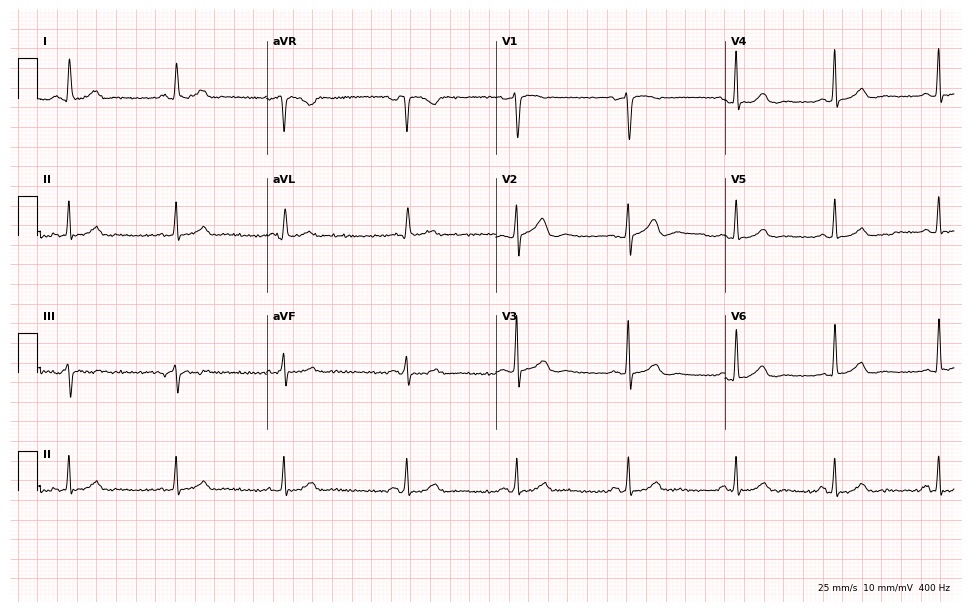
Standard 12-lead ECG recorded from a female patient, 63 years old. Read as a normal ECG.